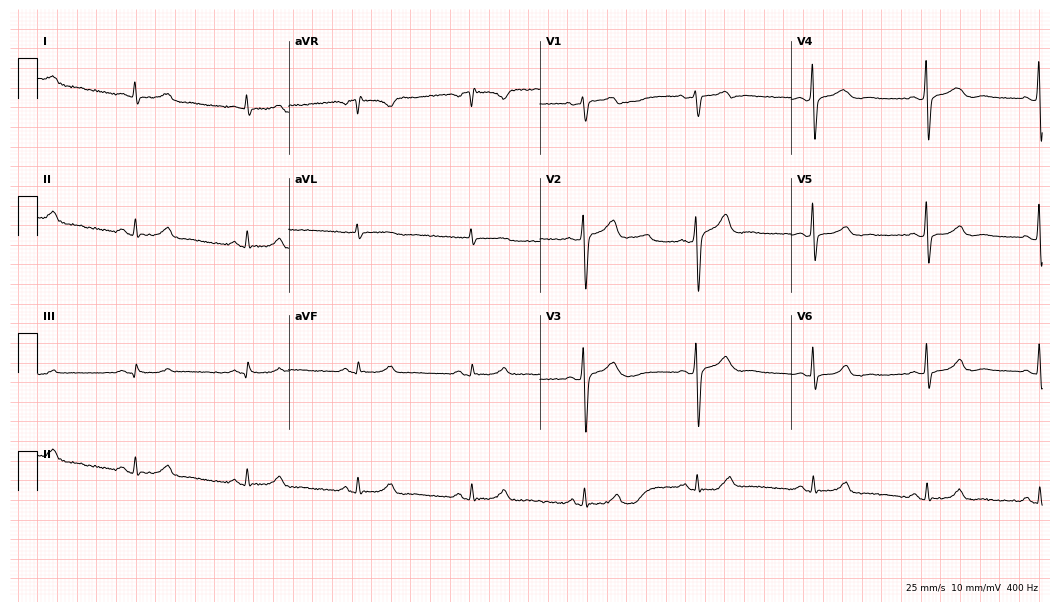
12-lead ECG from a man, 53 years old (10.2-second recording at 400 Hz). Recorded interpretation: within normal limits.